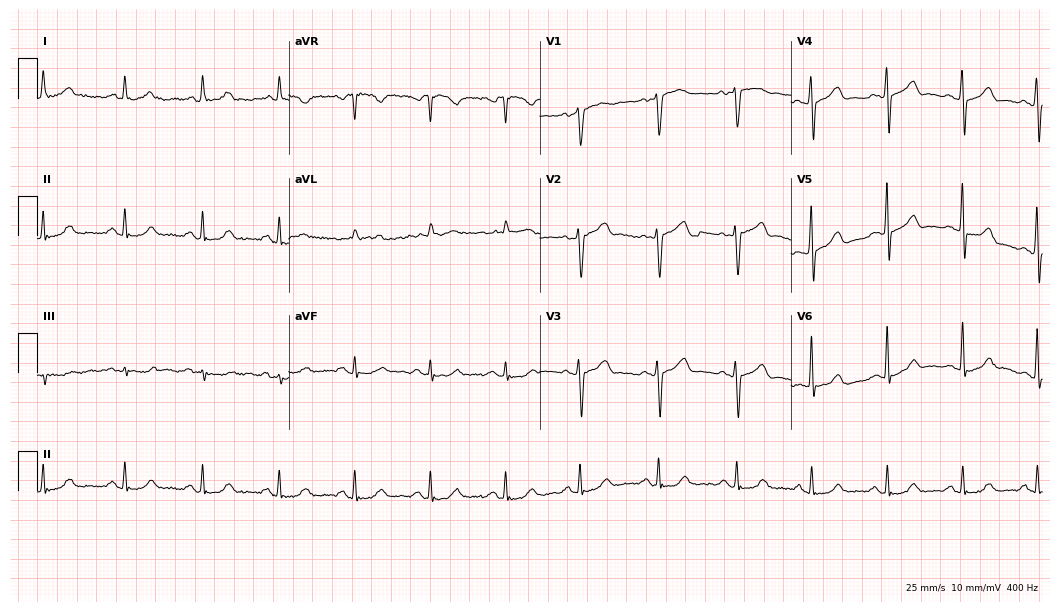
12-lead ECG (10.2-second recording at 400 Hz) from a 71-year-old male. Labelled as a normal ECG.